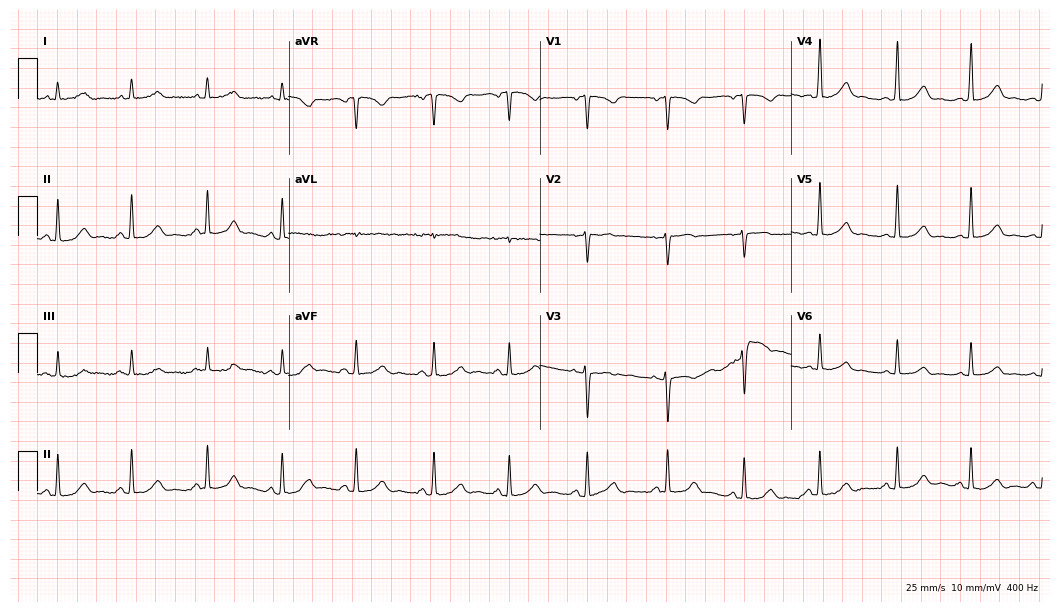
12-lead ECG (10.2-second recording at 400 Hz) from a 39-year-old woman. Screened for six findings — first-degree AV block, right bundle branch block, left bundle branch block, sinus bradycardia, atrial fibrillation, sinus tachycardia — none is recorded. Only these six findings were labelled.